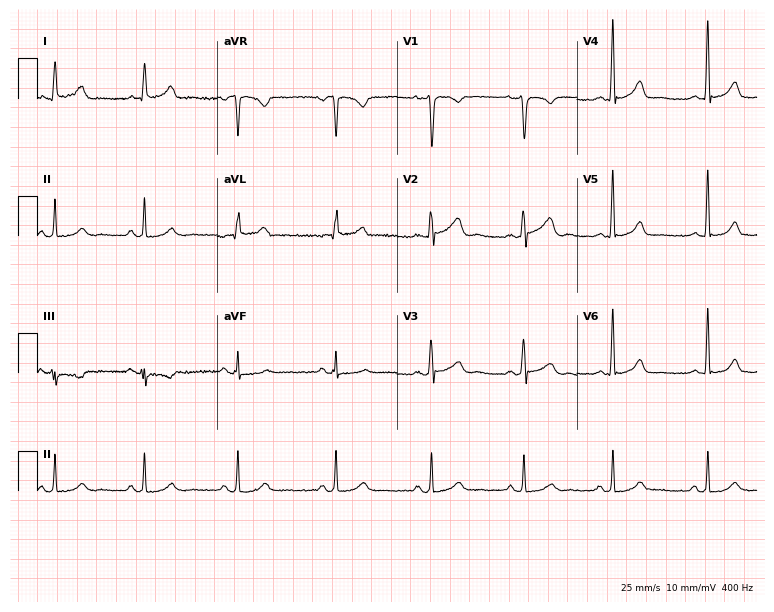
Resting 12-lead electrocardiogram (7.3-second recording at 400 Hz). Patient: a woman, 44 years old. None of these six findings is recorded: first-degree AV block, right bundle branch block, left bundle branch block, sinus bradycardia, atrial fibrillation, sinus tachycardia.